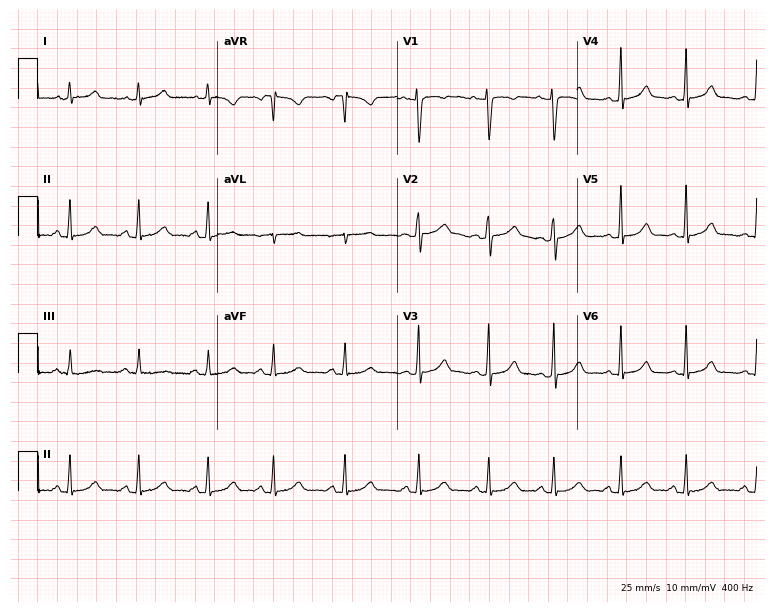
Resting 12-lead electrocardiogram. Patient: a female, 17 years old. Read as a normal ECG.